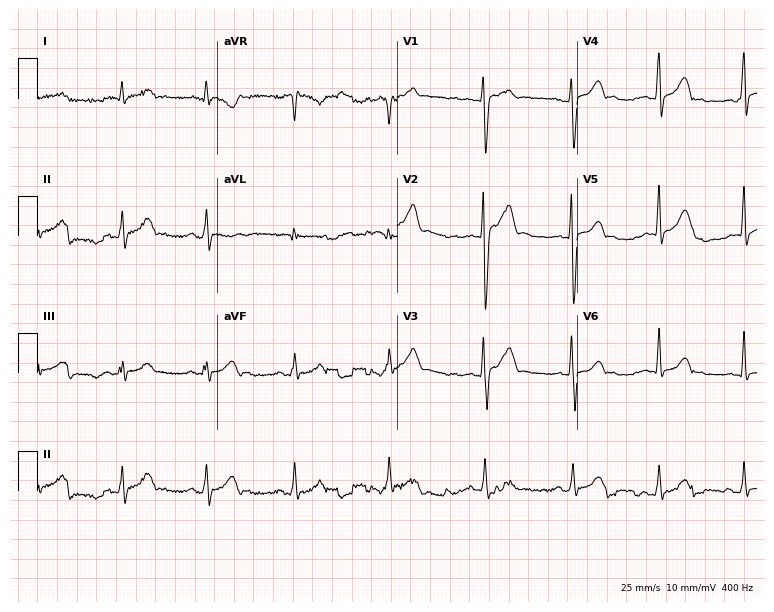
Electrocardiogram (7.3-second recording at 400 Hz), a 32-year-old woman. Of the six screened findings (first-degree AV block, right bundle branch block, left bundle branch block, sinus bradycardia, atrial fibrillation, sinus tachycardia), none is recorded. Only these six findings were labelled.